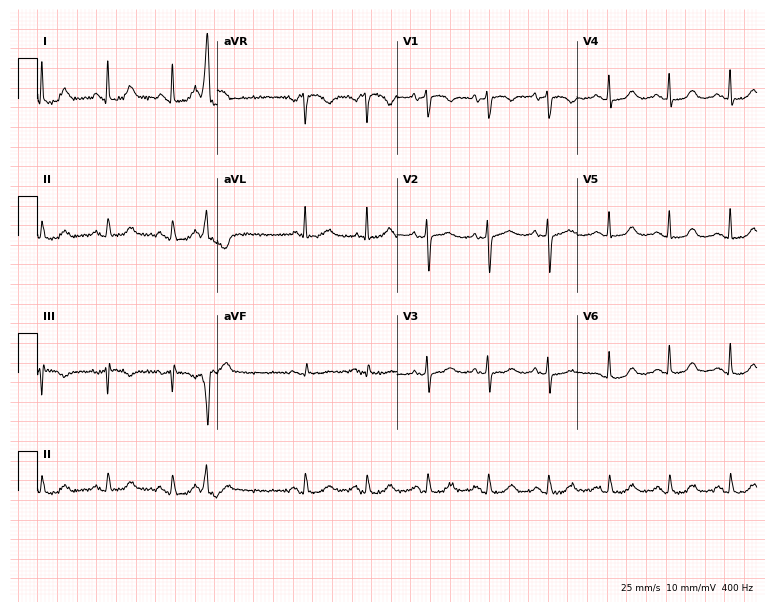
Standard 12-lead ECG recorded from a 74-year-old woman (7.3-second recording at 400 Hz). None of these six findings is recorded: first-degree AV block, right bundle branch block, left bundle branch block, sinus bradycardia, atrial fibrillation, sinus tachycardia. Findings outside these six are not listed.